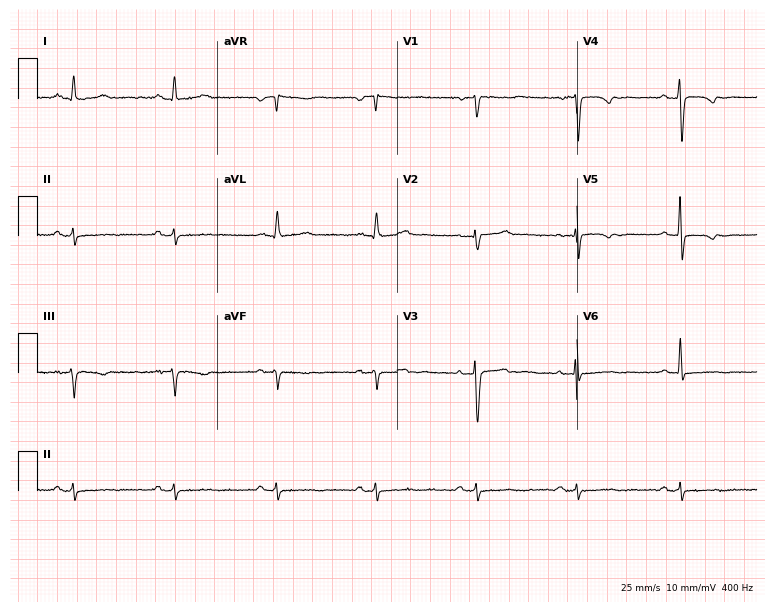
Electrocardiogram (7.3-second recording at 400 Hz), a female patient, 54 years old. Of the six screened findings (first-degree AV block, right bundle branch block, left bundle branch block, sinus bradycardia, atrial fibrillation, sinus tachycardia), none is recorded. Only these six findings were labelled.